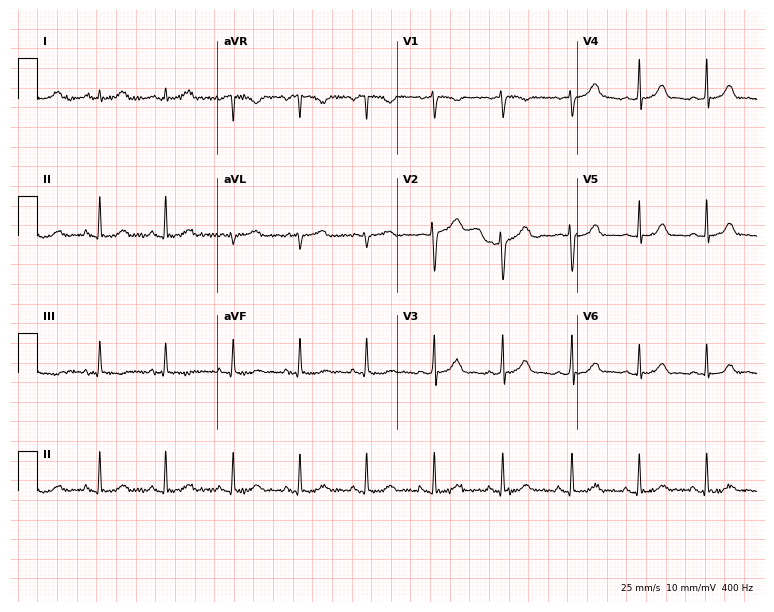
Resting 12-lead electrocardiogram (7.3-second recording at 400 Hz). Patient: a 21-year-old female. None of these six findings is recorded: first-degree AV block, right bundle branch block, left bundle branch block, sinus bradycardia, atrial fibrillation, sinus tachycardia.